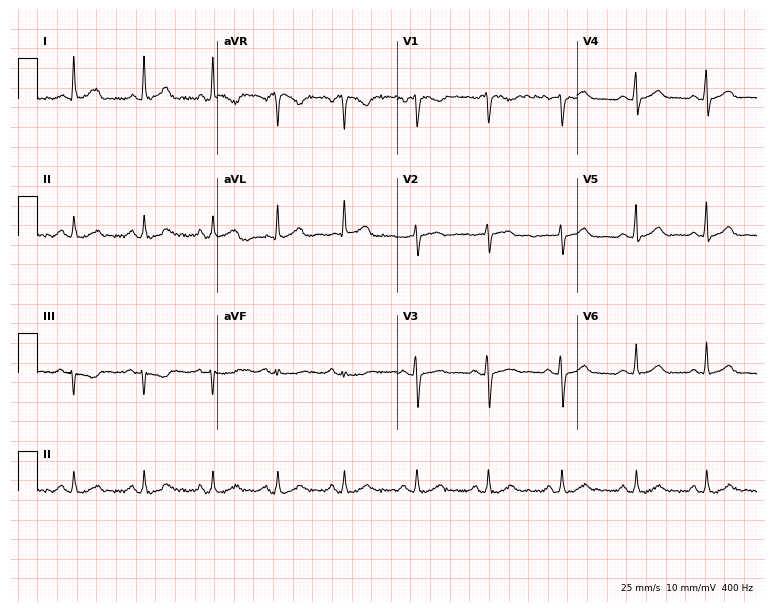
12-lead ECG from a female patient, 33 years old. Labelled as a normal ECG.